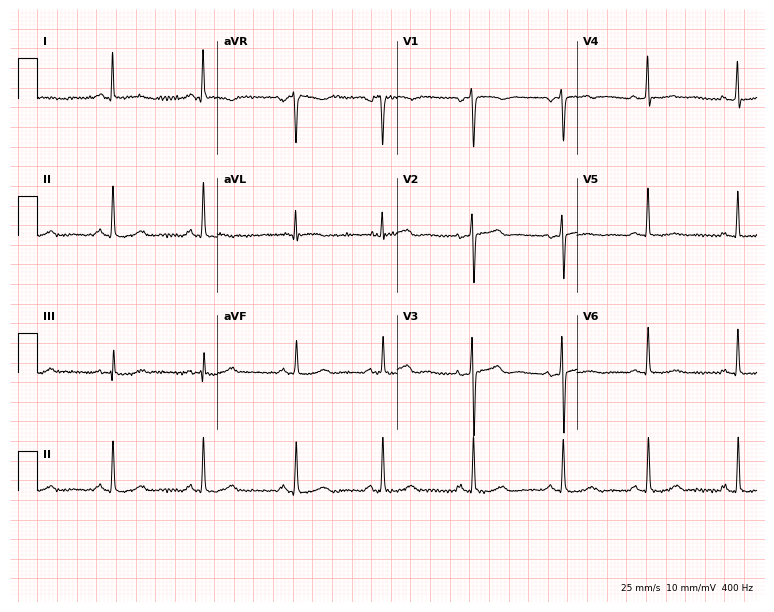
Electrocardiogram, a 54-year-old female. Overall reading on record: normal ECG.